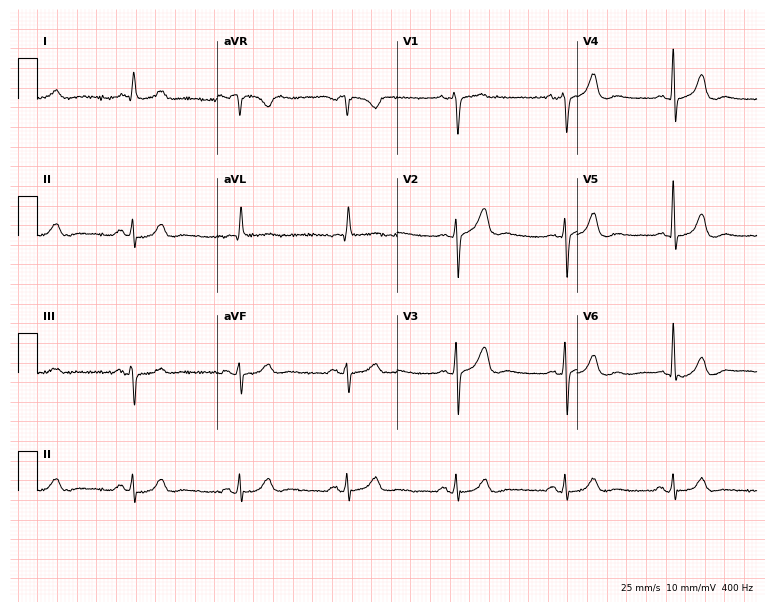
12-lead ECG from a male, 83 years old. Labelled as a normal ECG.